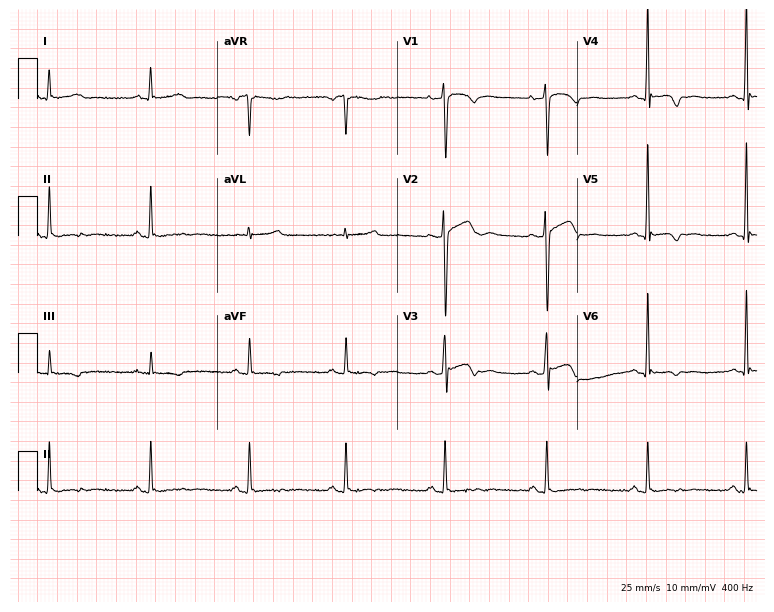
12-lead ECG from a 45-year-old man. No first-degree AV block, right bundle branch block, left bundle branch block, sinus bradycardia, atrial fibrillation or sinus tachycardia recorded for this tracing.